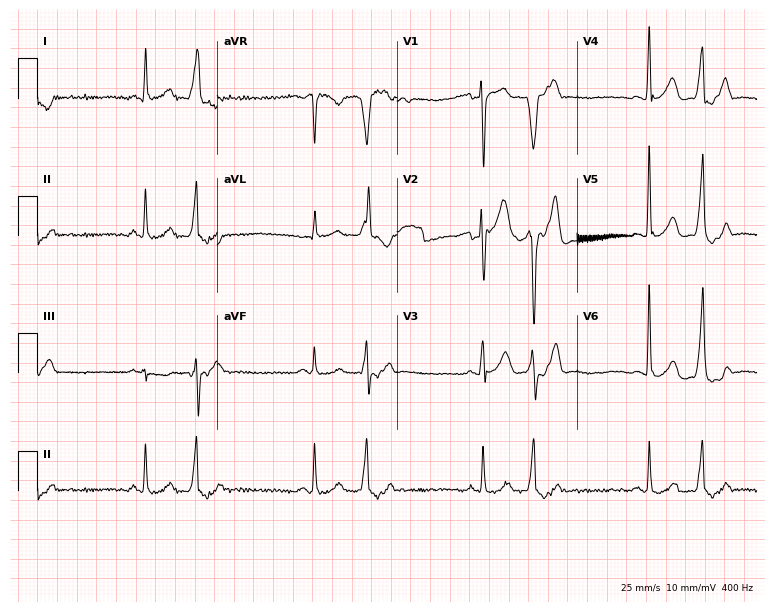
Electrocardiogram, a male patient, 56 years old. Of the six screened findings (first-degree AV block, right bundle branch block, left bundle branch block, sinus bradycardia, atrial fibrillation, sinus tachycardia), none is recorded.